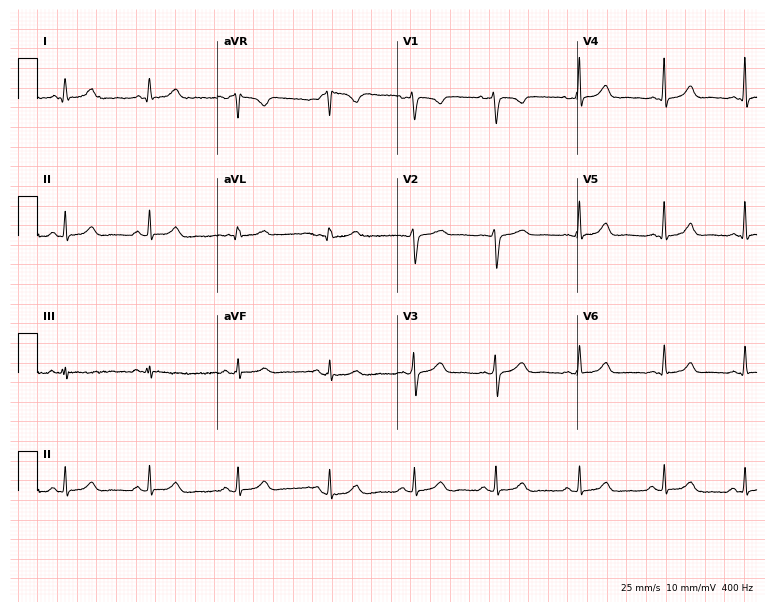
Electrocardiogram, a 21-year-old female patient. Overall reading on record: normal ECG.